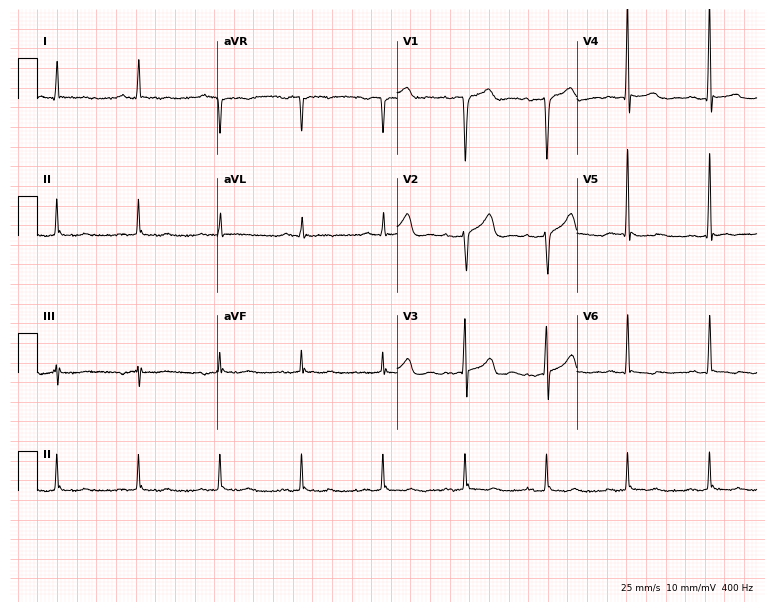
ECG (7.3-second recording at 400 Hz) — a man, 80 years old. Screened for six findings — first-degree AV block, right bundle branch block, left bundle branch block, sinus bradycardia, atrial fibrillation, sinus tachycardia — none is recorded.